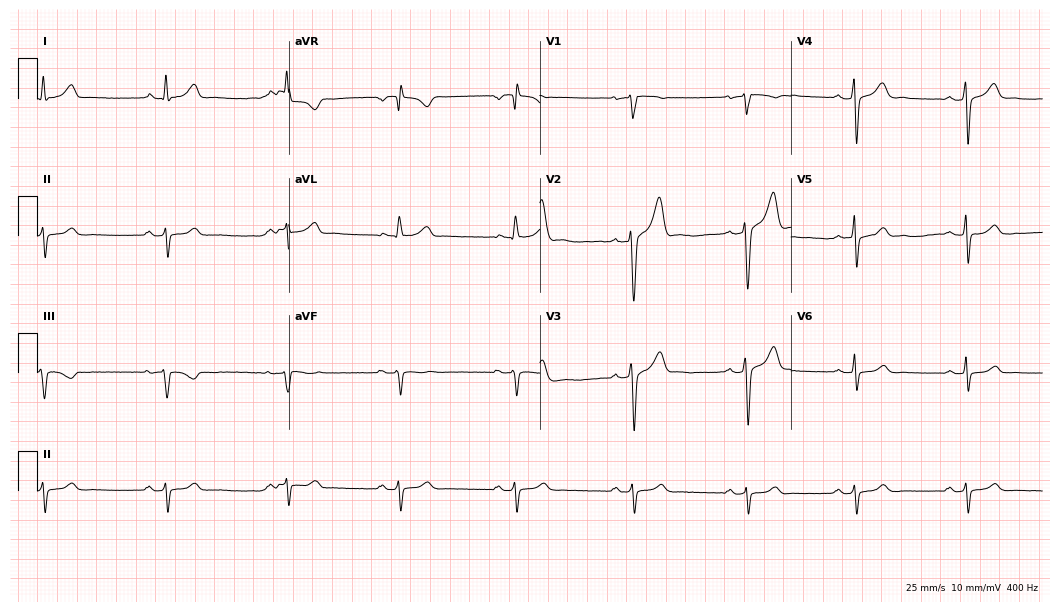
12-lead ECG from a 39-year-old male patient (10.2-second recording at 400 Hz). No first-degree AV block, right bundle branch block, left bundle branch block, sinus bradycardia, atrial fibrillation or sinus tachycardia recorded for this tracing.